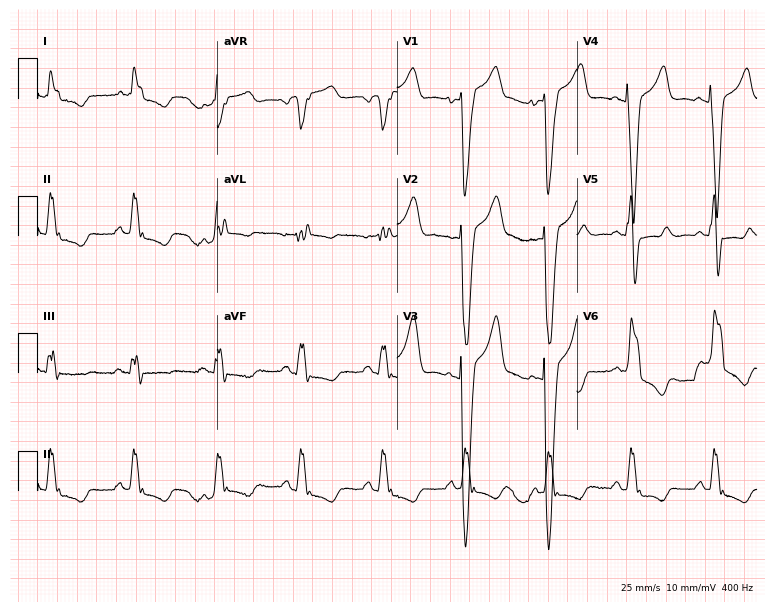
Standard 12-lead ECG recorded from a 72-year-old man. The tracing shows left bundle branch block.